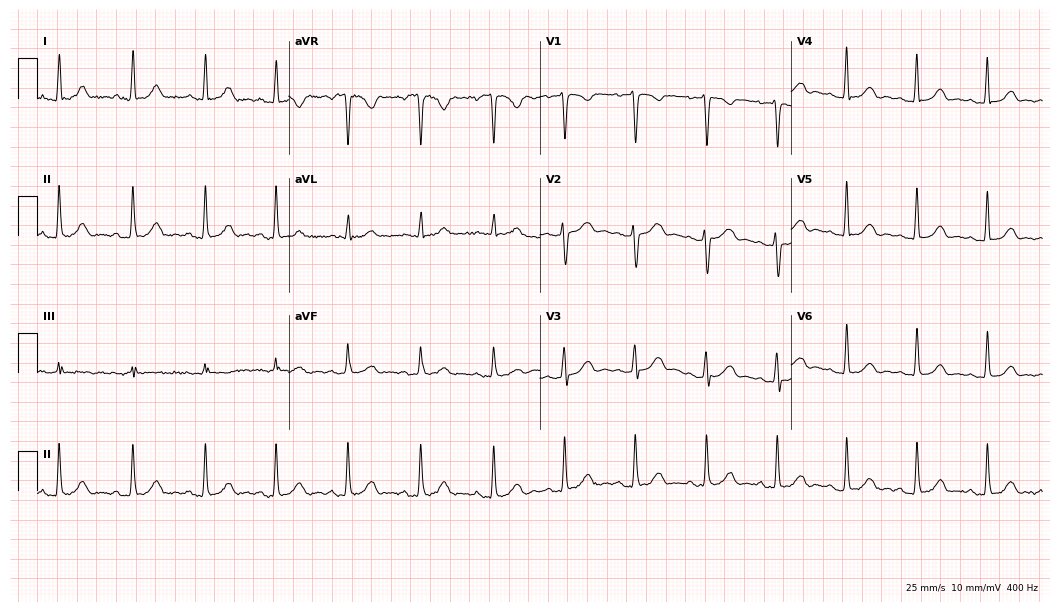
Electrocardiogram, a 35-year-old female. Of the six screened findings (first-degree AV block, right bundle branch block, left bundle branch block, sinus bradycardia, atrial fibrillation, sinus tachycardia), none is recorded. Findings outside these six are not listed.